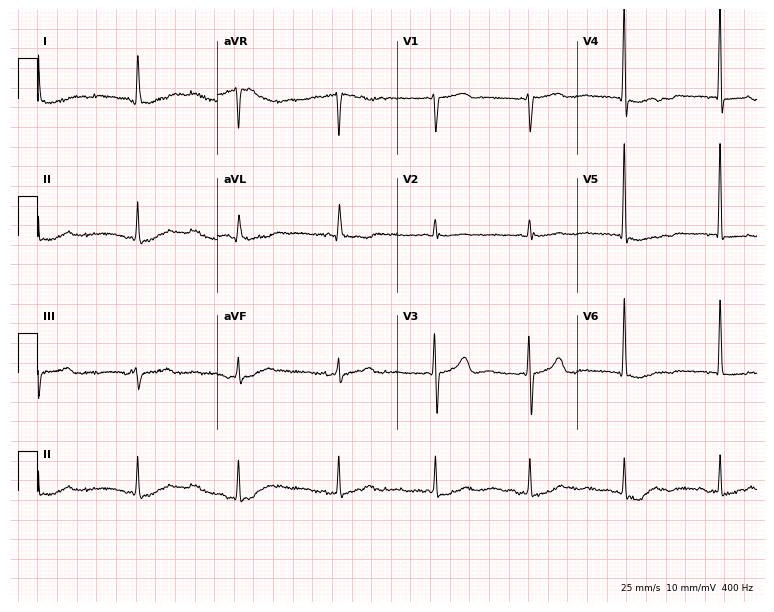
Electrocardiogram (7.3-second recording at 400 Hz), a female, 69 years old. Of the six screened findings (first-degree AV block, right bundle branch block (RBBB), left bundle branch block (LBBB), sinus bradycardia, atrial fibrillation (AF), sinus tachycardia), none is recorded. Findings outside these six are not listed.